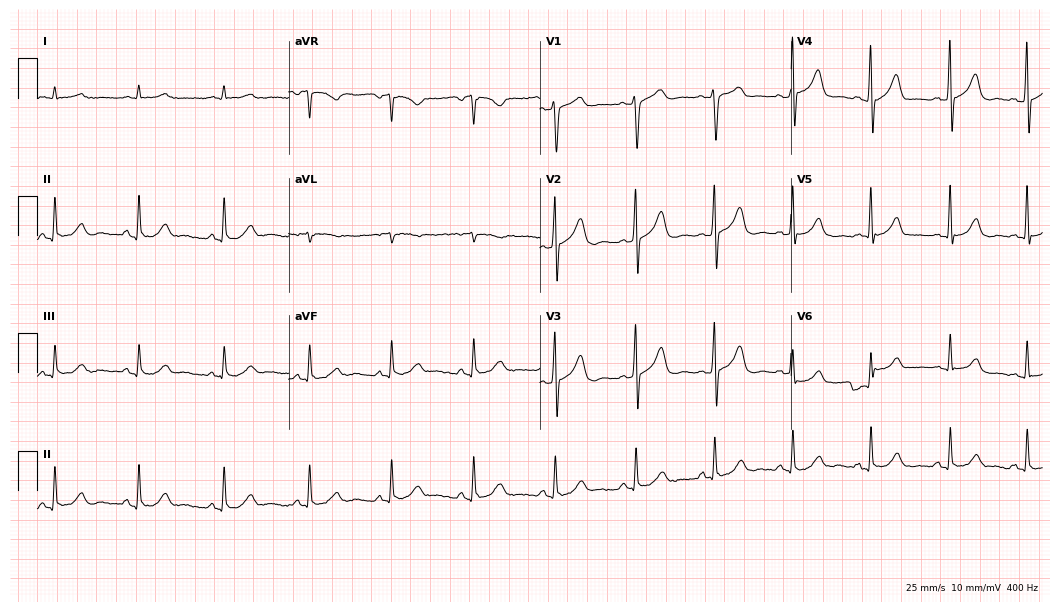
Standard 12-lead ECG recorded from a 63-year-old man (10.2-second recording at 400 Hz). Read as a normal ECG.